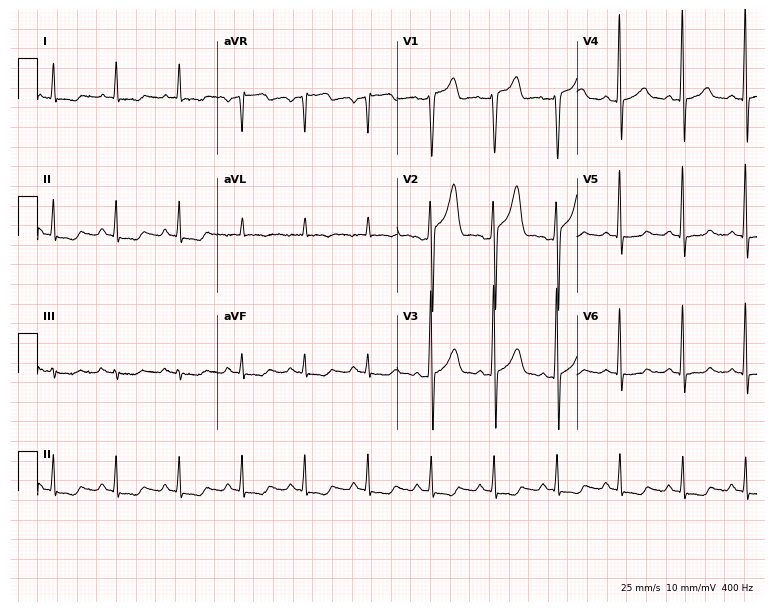
12-lead ECG from a 54-year-old man. No first-degree AV block, right bundle branch block (RBBB), left bundle branch block (LBBB), sinus bradycardia, atrial fibrillation (AF) or sinus tachycardia recorded for this tracing.